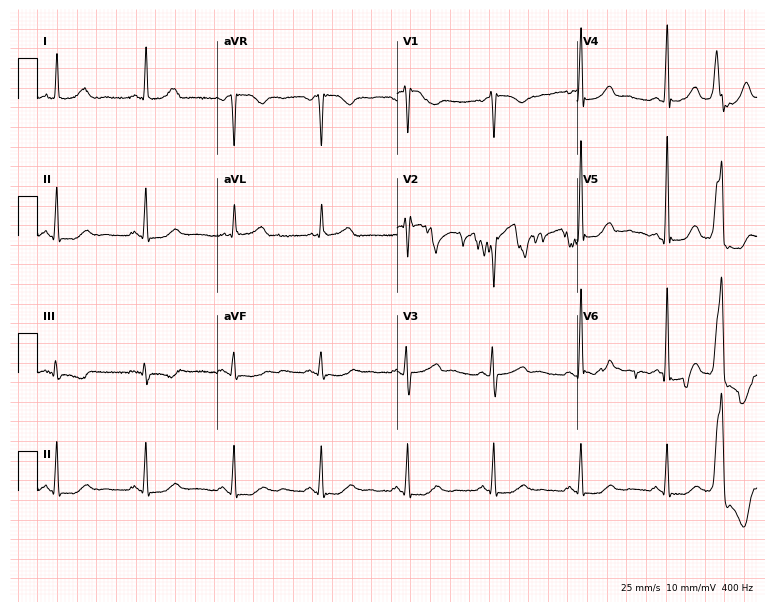
Standard 12-lead ECG recorded from a female, 53 years old (7.3-second recording at 400 Hz). None of these six findings is recorded: first-degree AV block, right bundle branch block (RBBB), left bundle branch block (LBBB), sinus bradycardia, atrial fibrillation (AF), sinus tachycardia. Only these six findings were labelled.